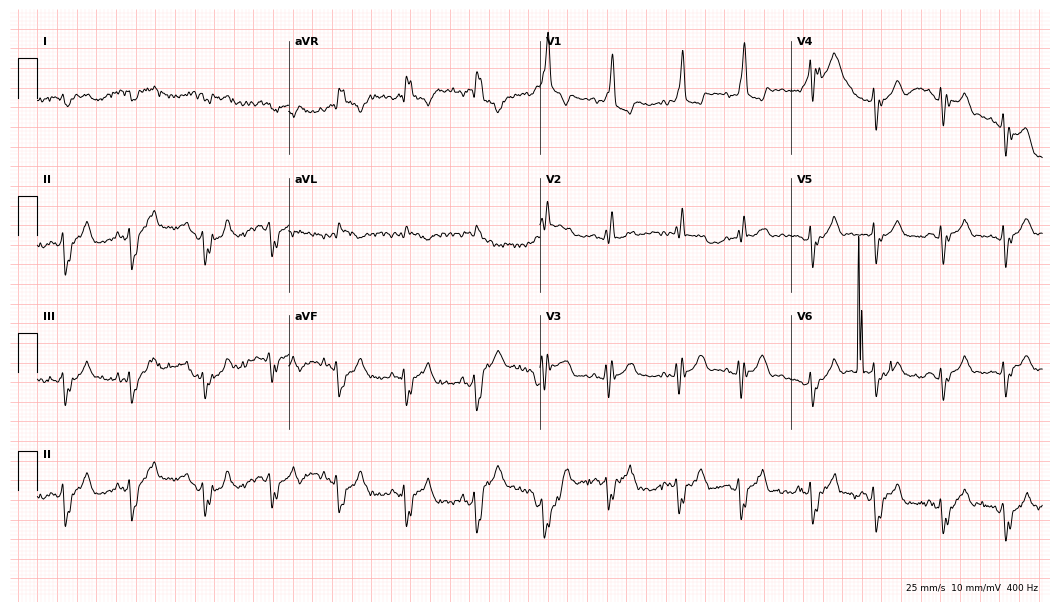
ECG (10.2-second recording at 400 Hz) — a male, 72 years old. Screened for six findings — first-degree AV block, right bundle branch block (RBBB), left bundle branch block (LBBB), sinus bradycardia, atrial fibrillation (AF), sinus tachycardia — none is recorded.